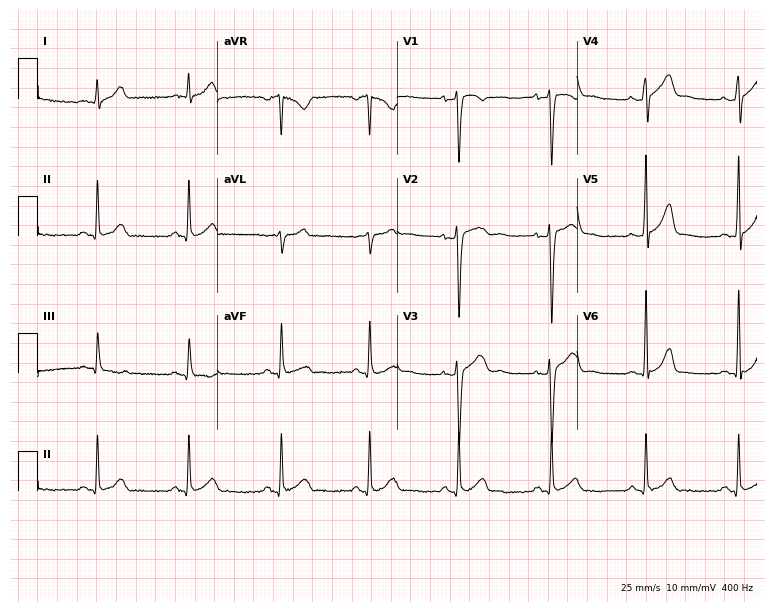
12-lead ECG from a man, 31 years old. Screened for six findings — first-degree AV block, right bundle branch block, left bundle branch block, sinus bradycardia, atrial fibrillation, sinus tachycardia — none is recorded.